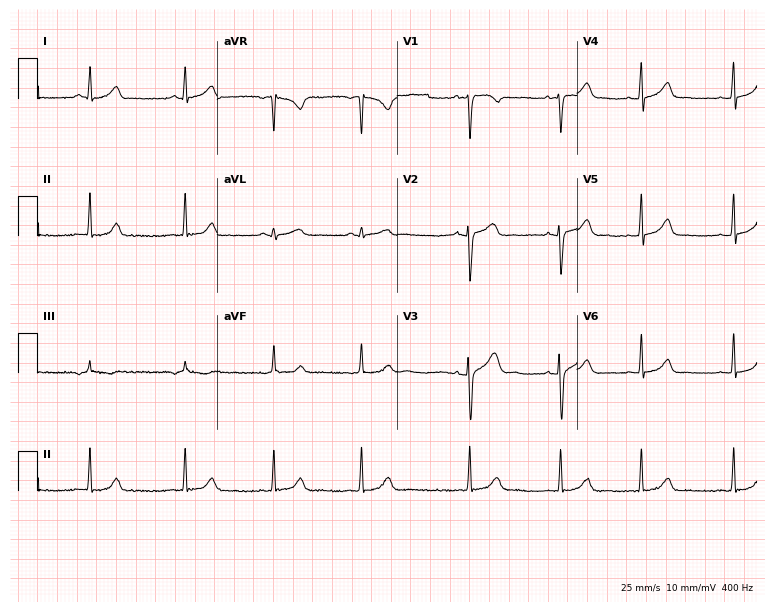
Resting 12-lead electrocardiogram (7.3-second recording at 400 Hz). Patient: a female, 32 years old. Read as a normal ECG.